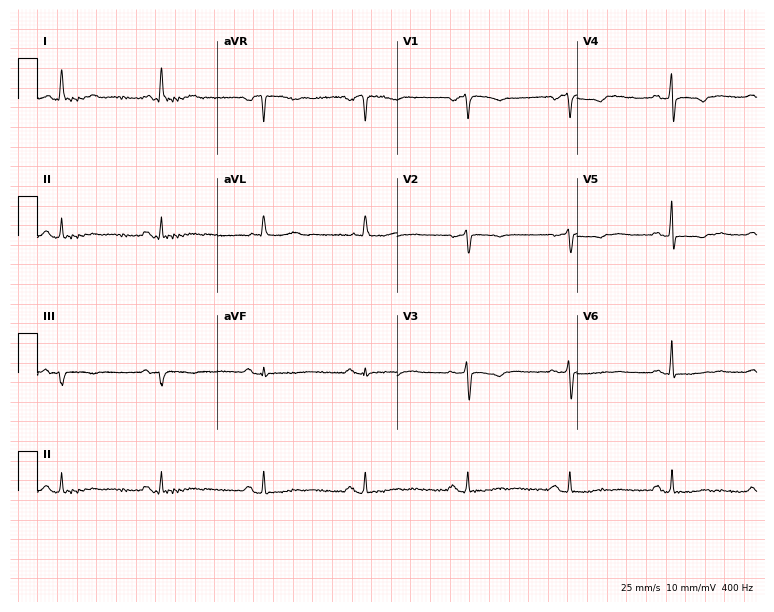
12-lead ECG from a 77-year-old female (7.3-second recording at 400 Hz). Recorded interpretation: within normal limits.